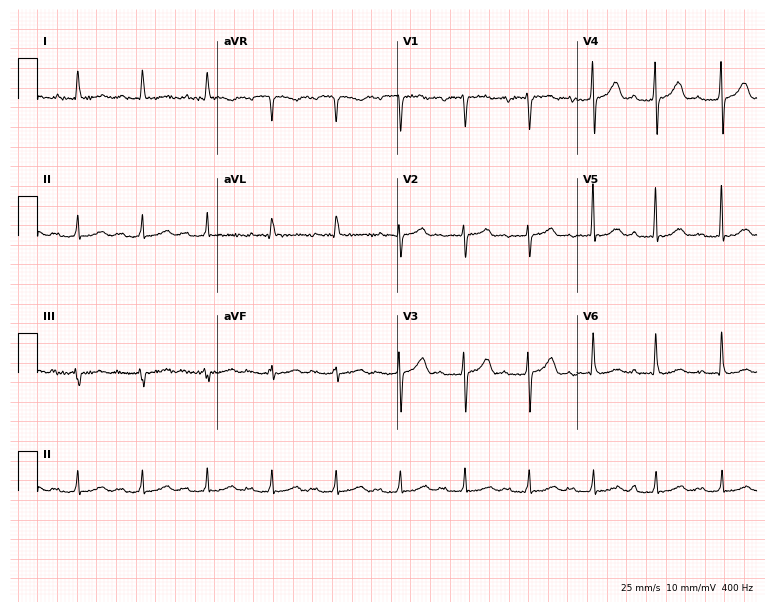
Standard 12-lead ECG recorded from a male patient, 79 years old (7.3-second recording at 400 Hz). None of these six findings is recorded: first-degree AV block, right bundle branch block (RBBB), left bundle branch block (LBBB), sinus bradycardia, atrial fibrillation (AF), sinus tachycardia. Only these six findings were labelled.